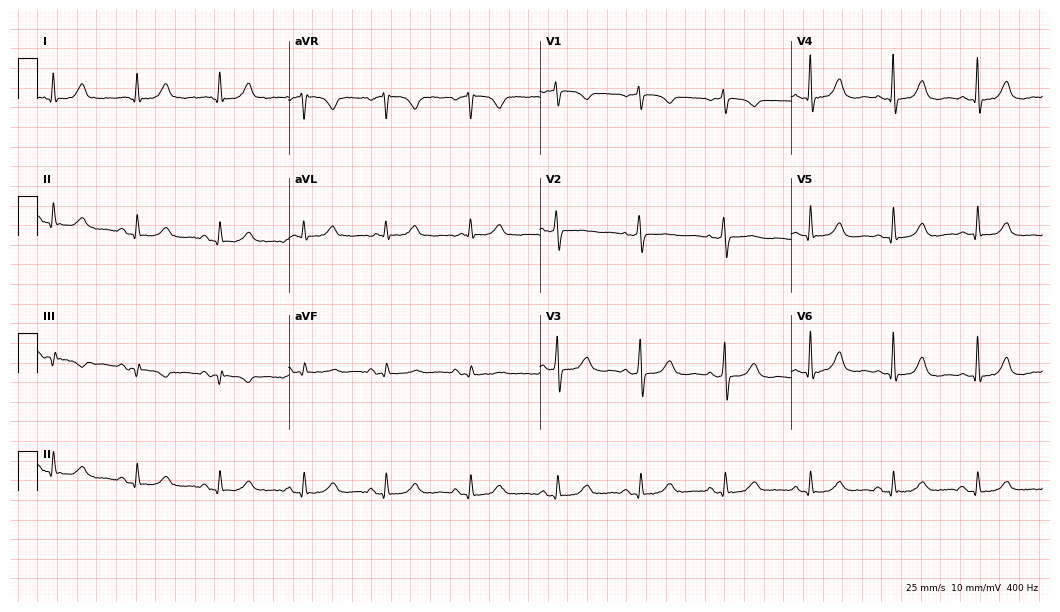
ECG (10.2-second recording at 400 Hz) — a female, 78 years old. Labelled as a normal ECG.